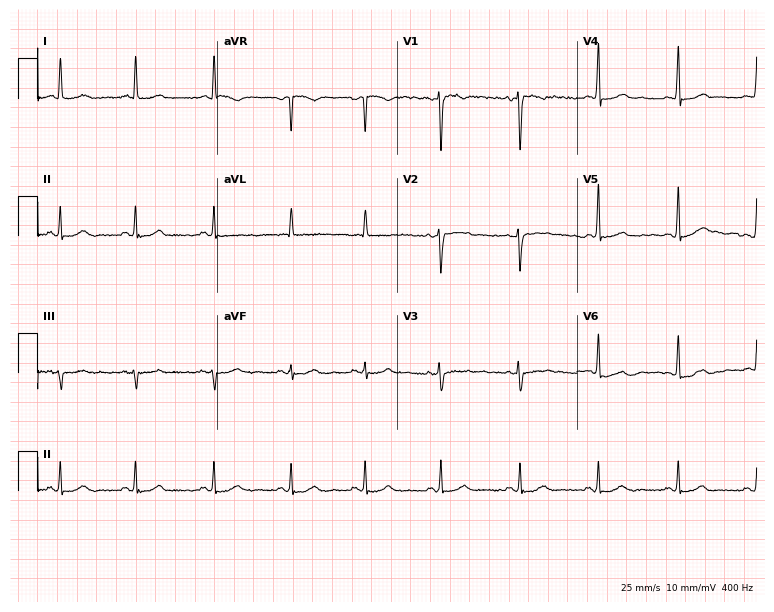
Standard 12-lead ECG recorded from a woman, 40 years old. None of these six findings is recorded: first-degree AV block, right bundle branch block, left bundle branch block, sinus bradycardia, atrial fibrillation, sinus tachycardia. Findings outside these six are not listed.